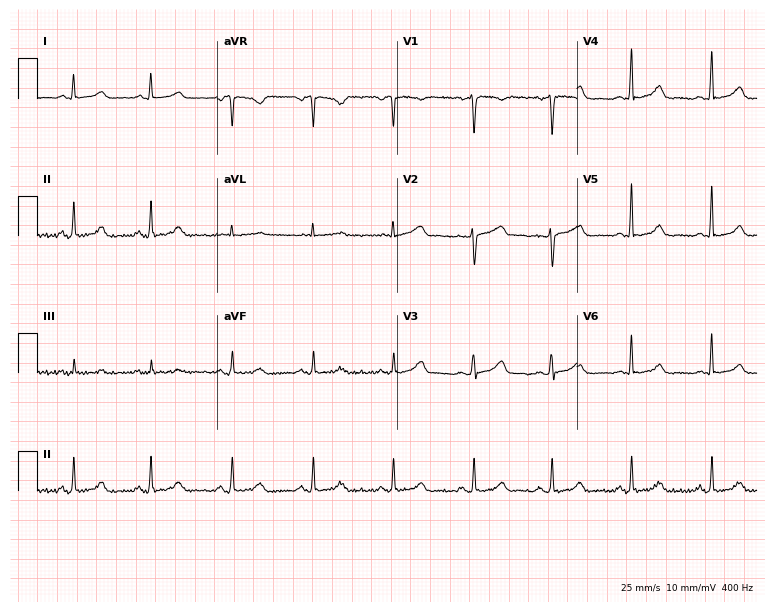
Resting 12-lead electrocardiogram. Patient: a female, 42 years old. Read as a normal ECG.